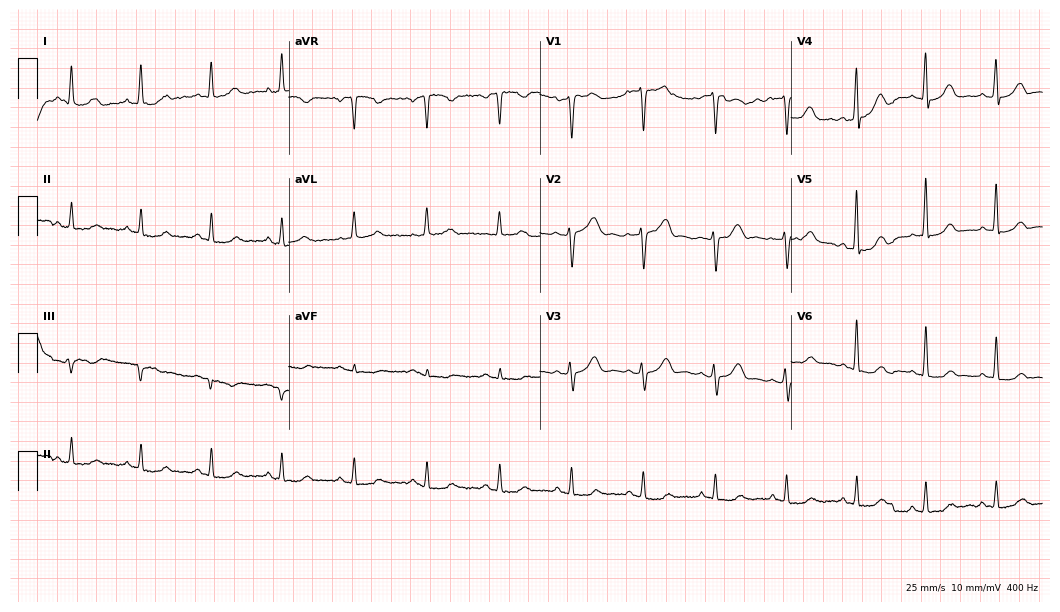
ECG (10.2-second recording at 400 Hz) — a female patient, 52 years old. Labelled as a normal ECG.